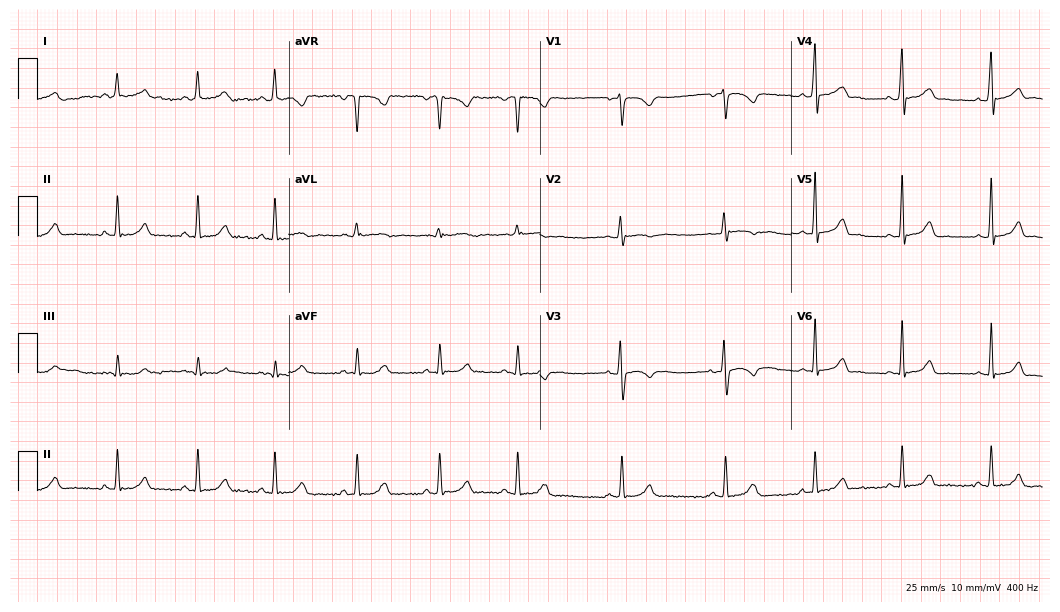
Resting 12-lead electrocardiogram (10.2-second recording at 400 Hz). Patient: a female, 31 years old. Read as a normal ECG.